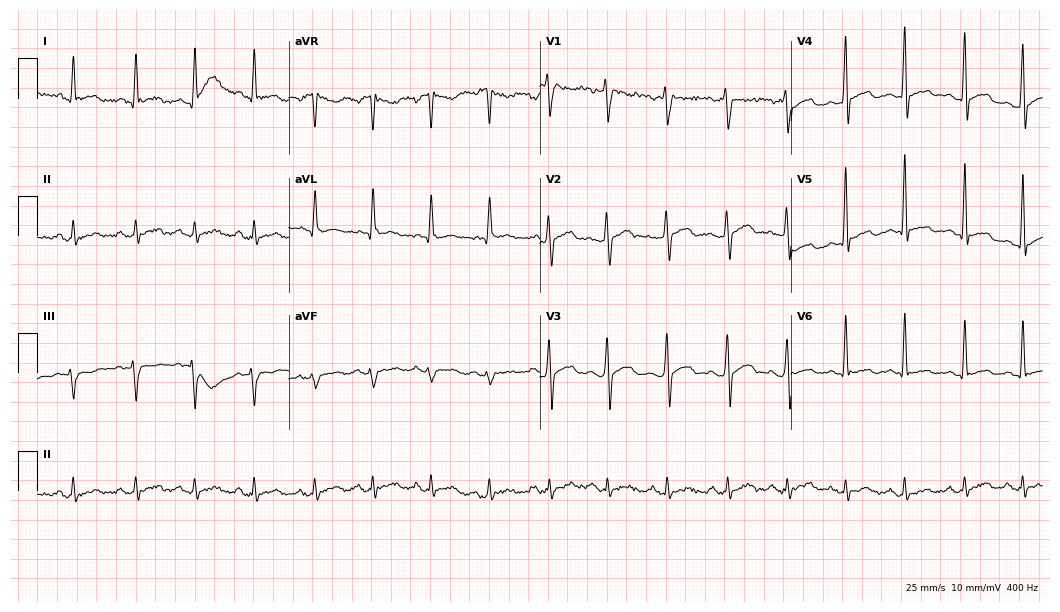
12-lead ECG (10.2-second recording at 400 Hz) from a man, 25 years old. Screened for six findings — first-degree AV block, right bundle branch block, left bundle branch block, sinus bradycardia, atrial fibrillation, sinus tachycardia — none is recorded. Only these six findings were labelled.